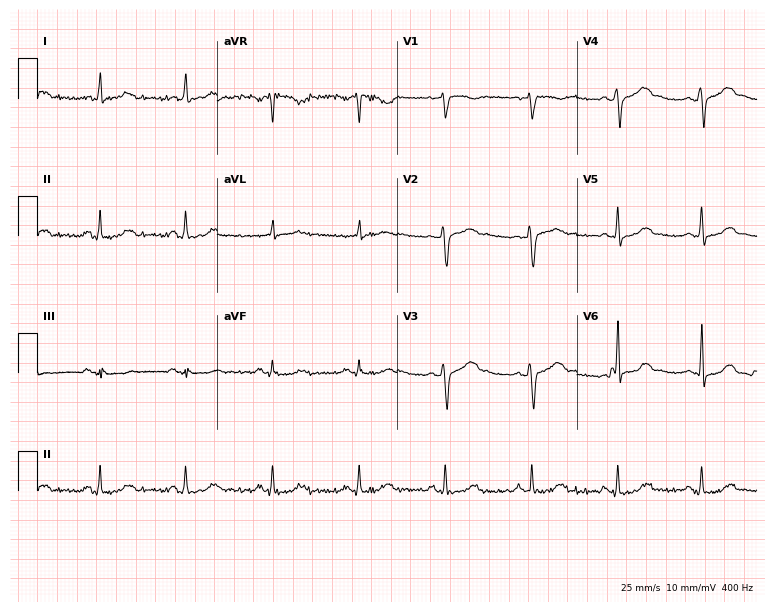
12-lead ECG (7.3-second recording at 400 Hz) from a female patient, 35 years old. Labelled as a normal ECG.